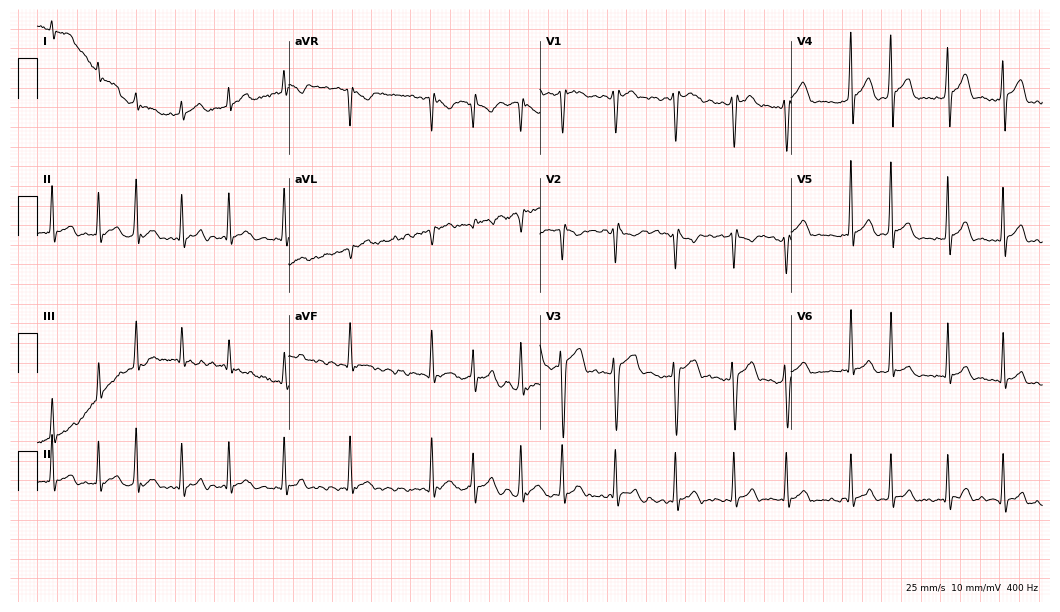
Electrocardiogram (10.2-second recording at 400 Hz), a 27-year-old male. Interpretation includes atrial fibrillation, sinus tachycardia (a sinus rate of 100 beats per minute or more).